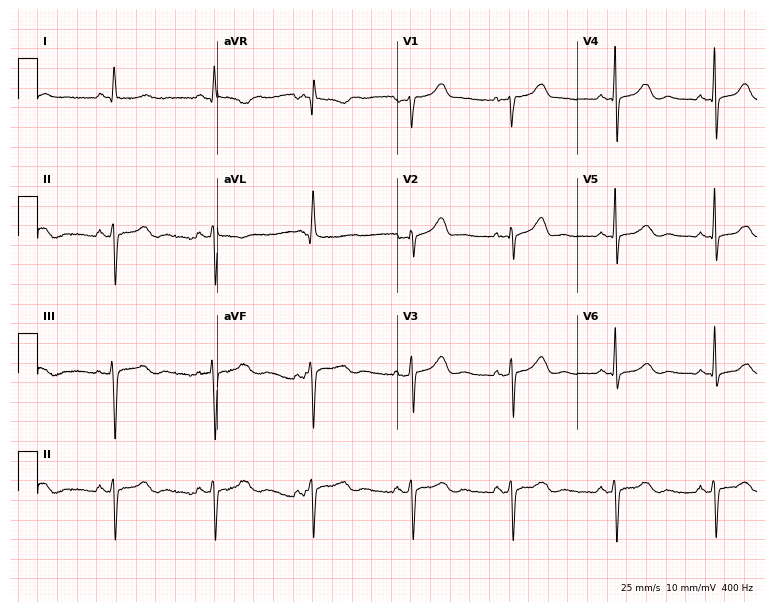
ECG (7.3-second recording at 400 Hz) — a 75-year-old woman. Screened for six findings — first-degree AV block, right bundle branch block, left bundle branch block, sinus bradycardia, atrial fibrillation, sinus tachycardia — none is recorded.